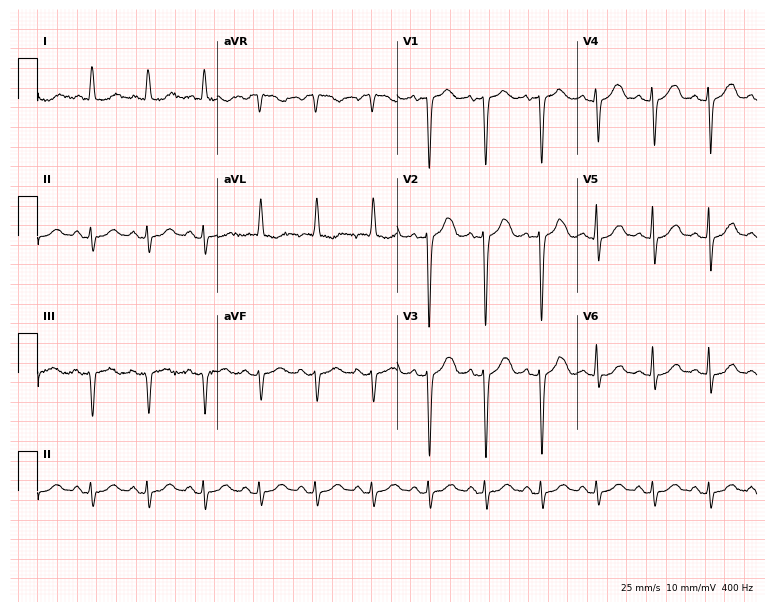
12-lead ECG from a 78-year-old female. Shows sinus tachycardia (a sinus rate of 100 beats per minute or more).